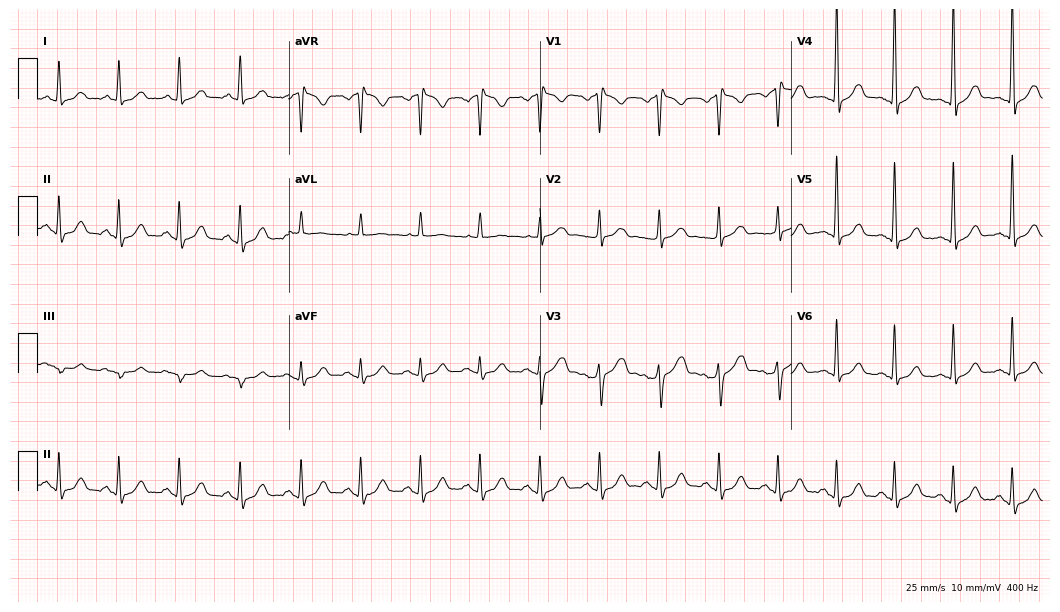
12-lead ECG from a 53-year-old man. No first-degree AV block, right bundle branch block (RBBB), left bundle branch block (LBBB), sinus bradycardia, atrial fibrillation (AF) or sinus tachycardia recorded for this tracing.